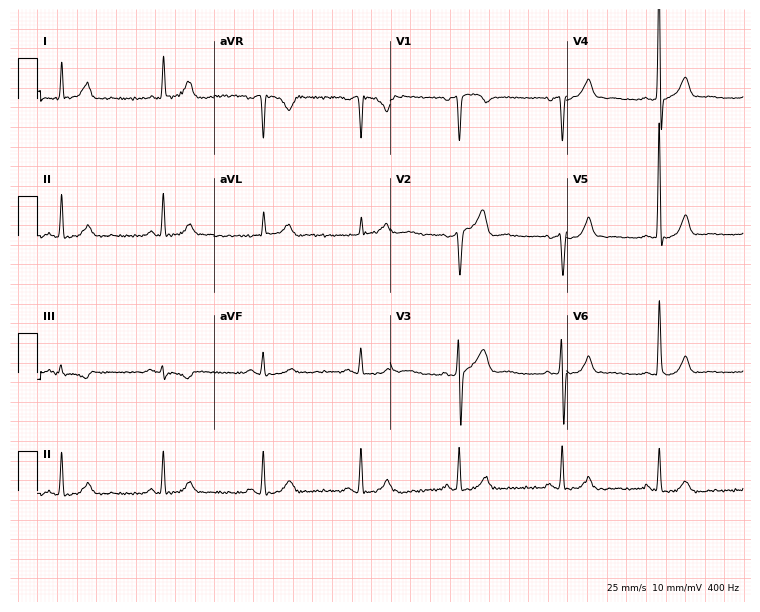
Resting 12-lead electrocardiogram (7.2-second recording at 400 Hz). Patient: a 67-year-old male. None of these six findings is recorded: first-degree AV block, right bundle branch block, left bundle branch block, sinus bradycardia, atrial fibrillation, sinus tachycardia. Other findings, if any, are not listed.